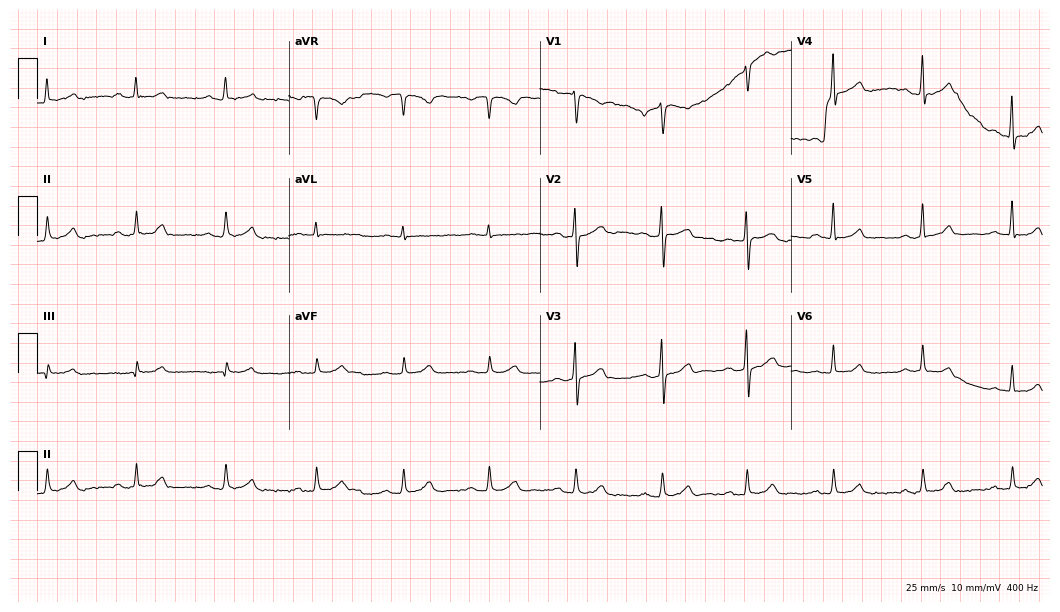
Electrocardiogram, a 53-year-old female. Overall reading on record: normal ECG.